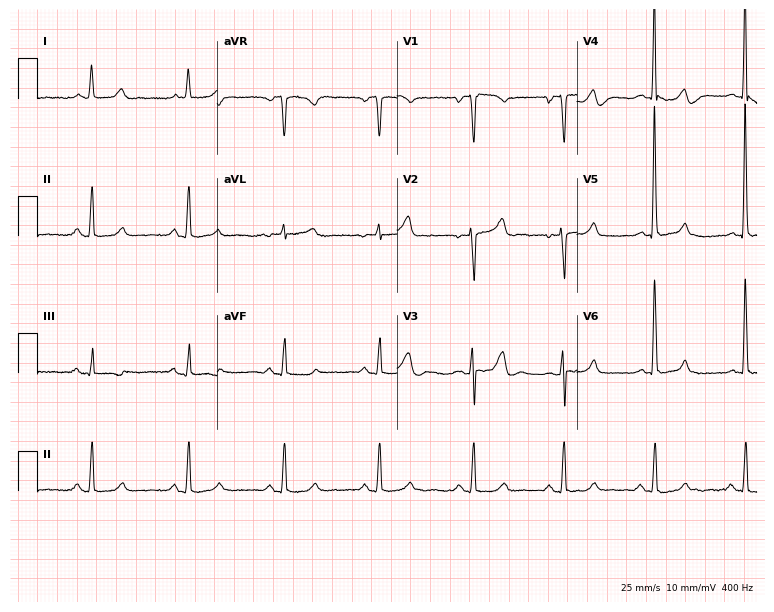
Electrocardiogram, a 60-year-old woman. Of the six screened findings (first-degree AV block, right bundle branch block, left bundle branch block, sinus bradycardia, atrial fibrillation, sinus tachycardia), none is recorded.